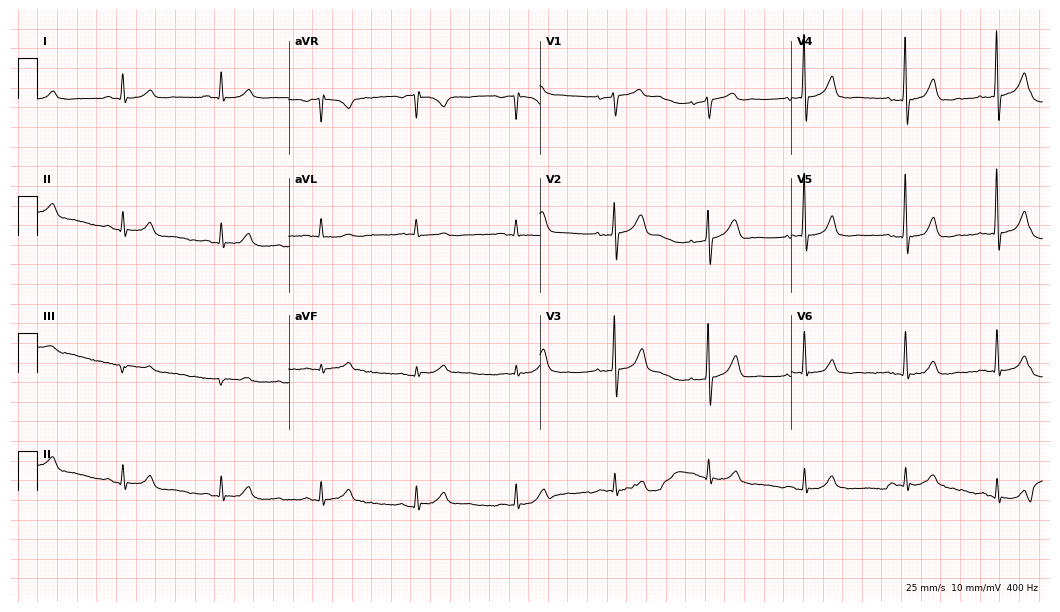
12-lead ECG (10.2-second recording at 400 Hz) from a 69-year-old male. Labelled as a normal ECG.